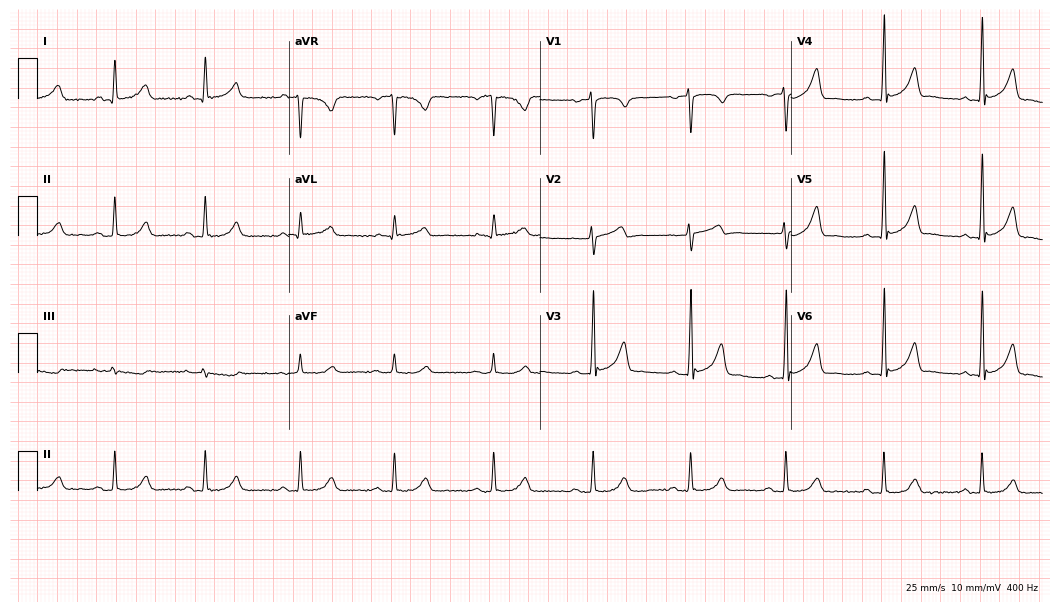
12-lead ECG (10.2-second recording at 400 Hz) from a 44-year-old male. Screened for six findings — first-degree AV block, right bundle branch block, left bundle branch block, sinus bradycardia, atrial fibrillation, sinus tachycardia — none is recorded. Other findings, if any, are not listed.